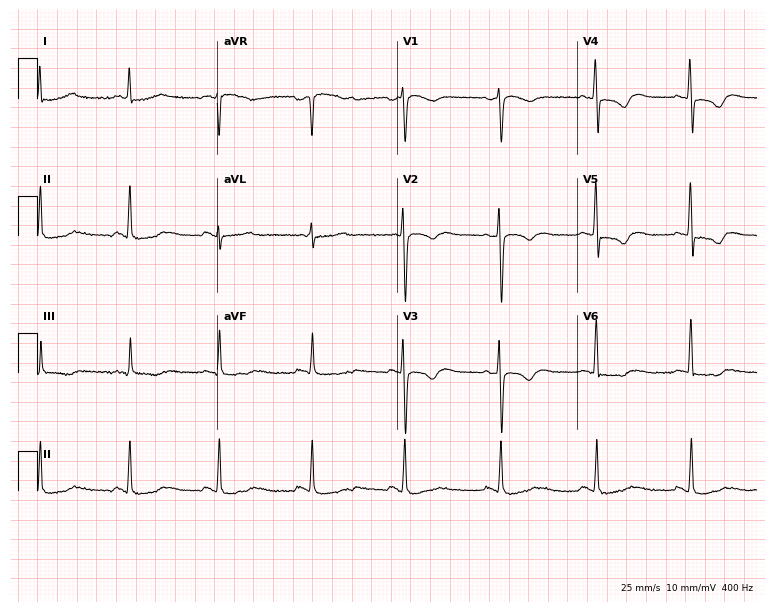
Electrocardiogram (7.3-second recording at 400 Hz), a woman, 46 years old. Of the six screened findings (first-degree AV block, right bundle branch block, left bundle branch block, sinus bradycardia, atrial fibrillation, sinus tachycardia), none is recorded. Findings outside these six are not listed.